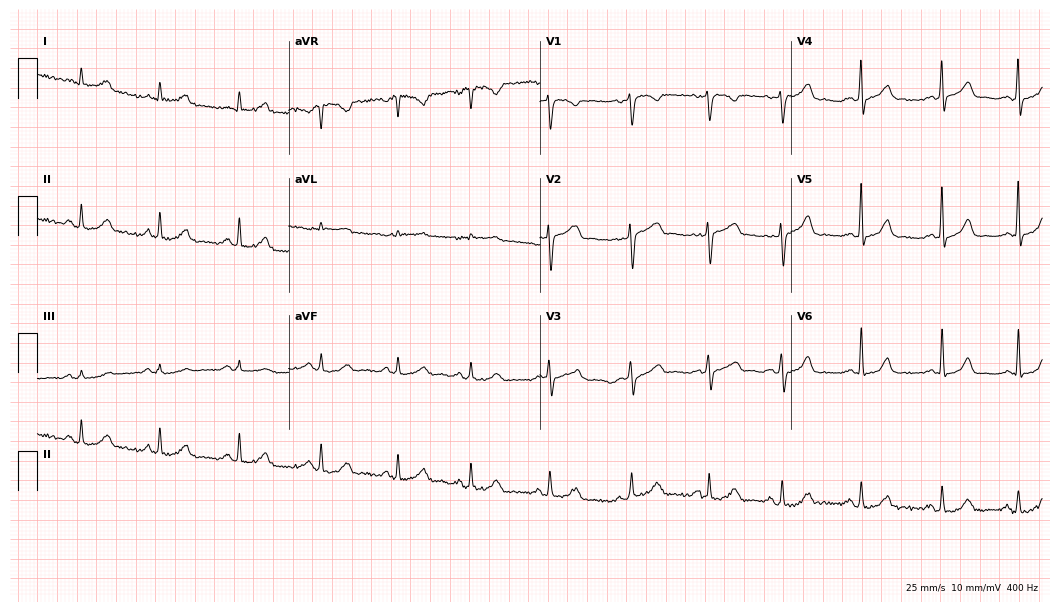
Electrocardiogram (10.2-second recording at 400 Hz), a 35-year-old female. Overall reading on record: normal ECG.